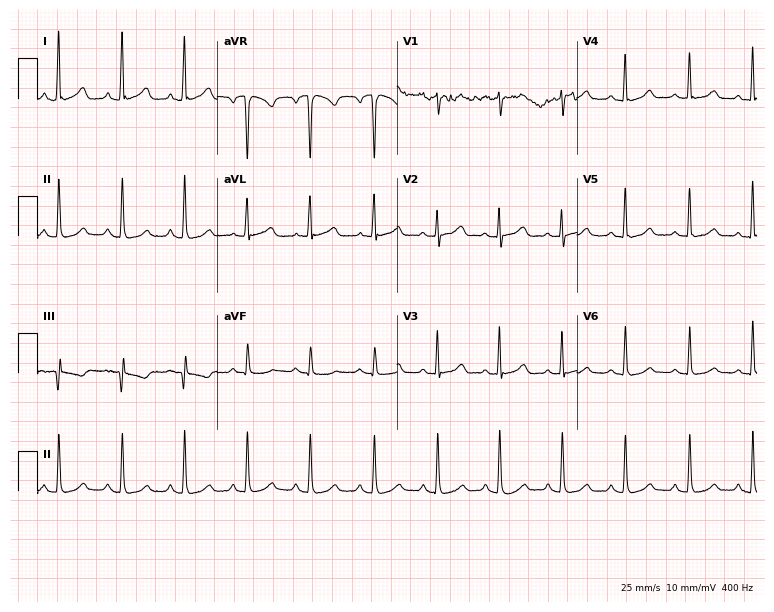
Standard 12-lead ECG recorded from a 69-year-old female. Read as a normal ECG.